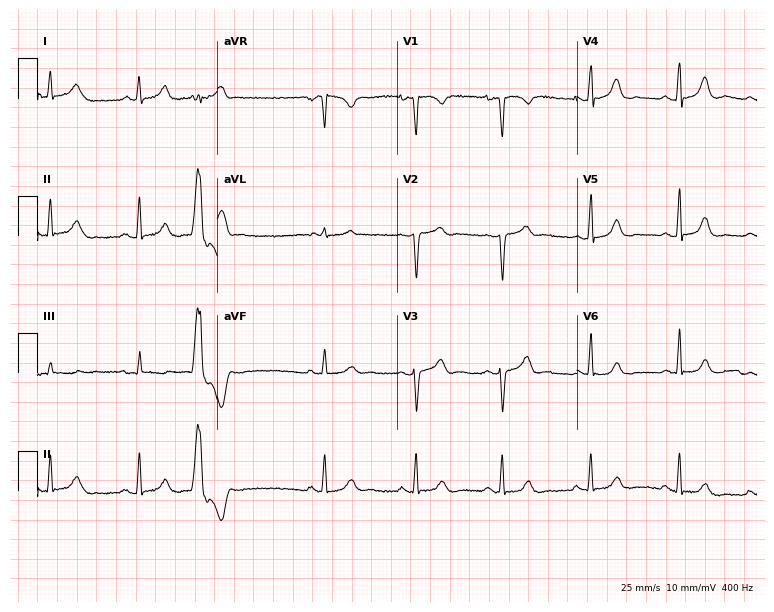
Resting 12-lead electrocardiogram. Patient: a 53-year-old woman. None of these six findings is recorded: first-degree AV block, right bundle branch block, left bundle branch block, sinus bradycardia, atrial fibrillation, sinus tachycardia. Findings outside these six are not listed.